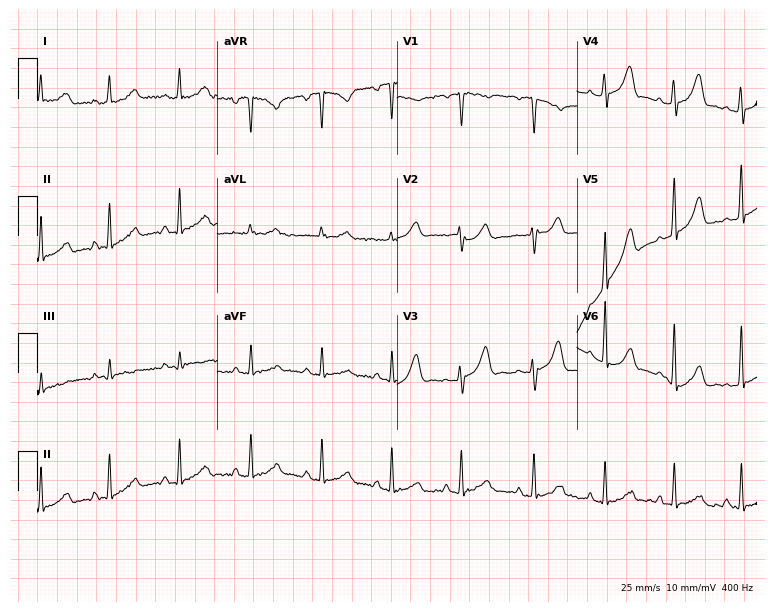
12-lead ECG from a 39-year-old female (7.3-second recording at 400 Hz). No first-degree AV block, right bundle branch block, left bundle branch block, sinus bradycardia, atrial fibrillation or sinus tachycardia recorded for this tracing.